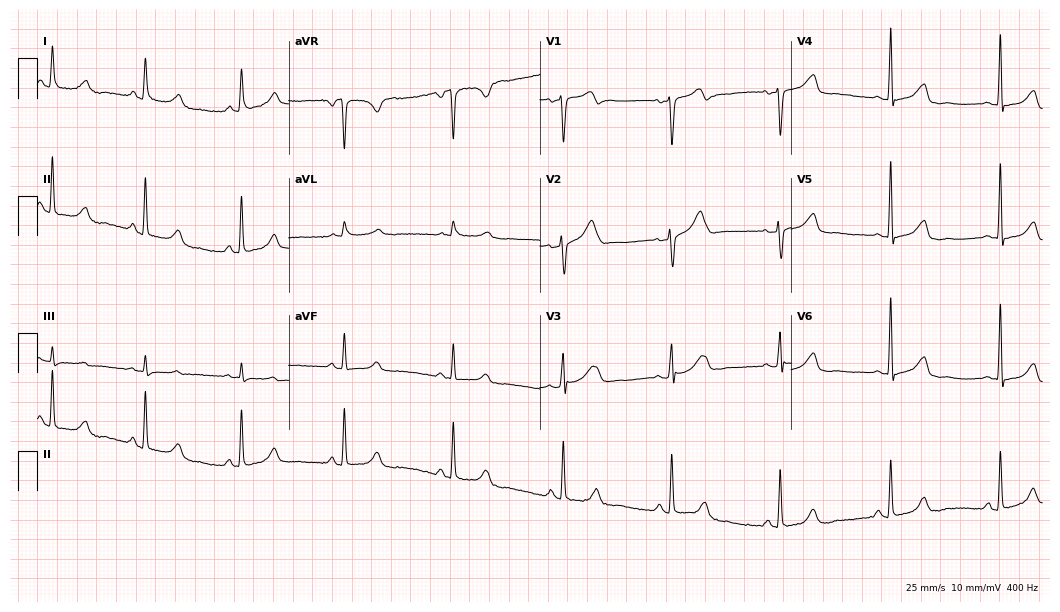
12-lead ECG from a 50-year-old female (10.2-second recording at 400 Hz). Recorded interpretation: within normal limits.